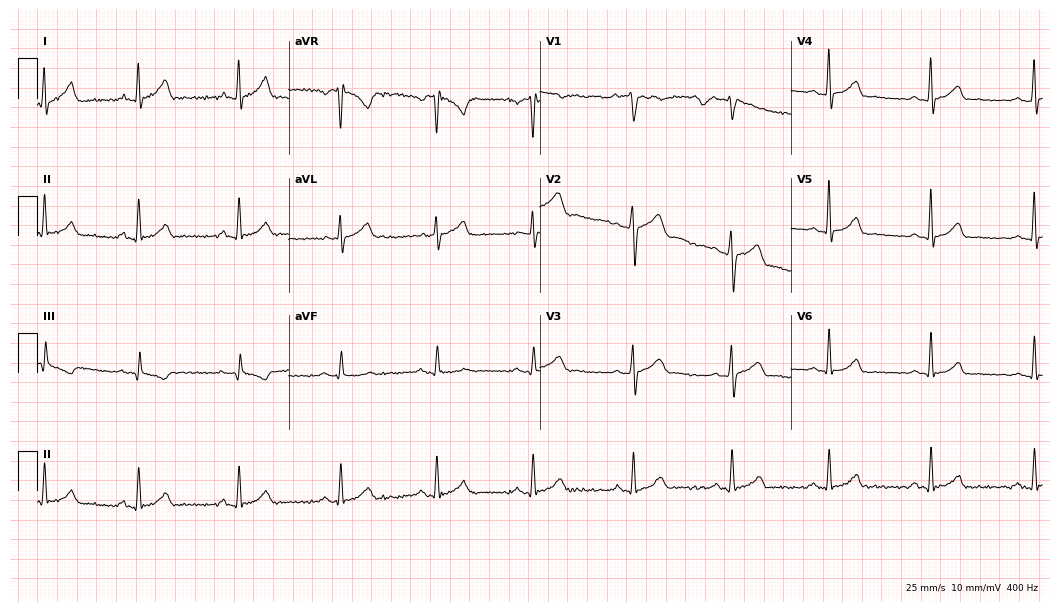
Electrocardiogram, a 37-year-old male patient. Of the six screened findings (first-degree AV block, right bundle branch block (RBBB), left bundle branch block (LBBB), sinus bradycardia, atrial fibrillation (AF), sinus tachycardia), none is recorded.